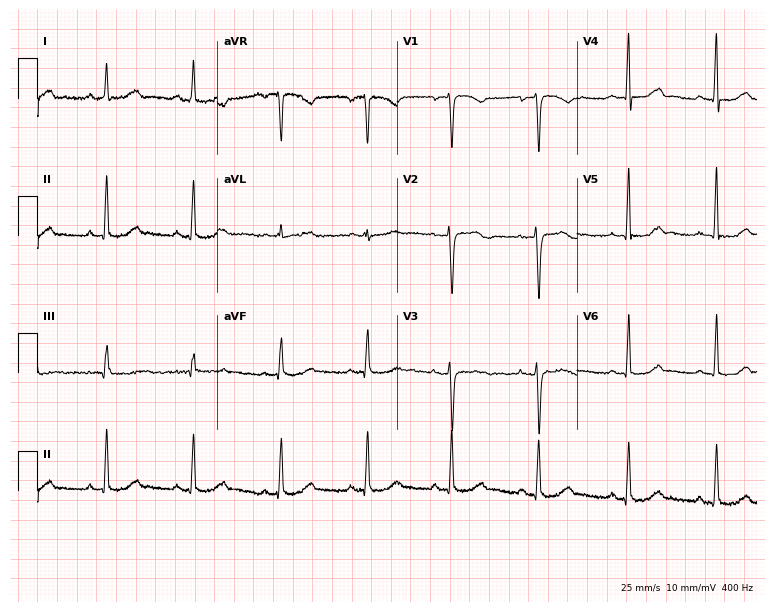
Resting 12-lead electrocardiogram (7.3-second recording at 400 Hz). Patient: a 49-year-old female. None of these six findings is recorded: first-degree AV block, right bundle branch block (RBBB), left bundle branch block (LBBB), sinus bradycardia, atrial fibrillation (AF), sinus tachycardia.